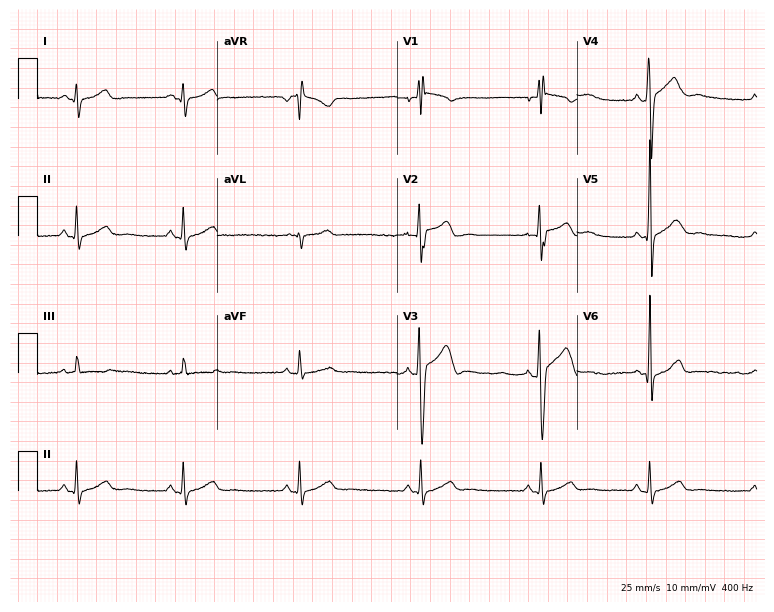
12-lead ECG from a male, 19 years old. Labelled as a normal ECG.